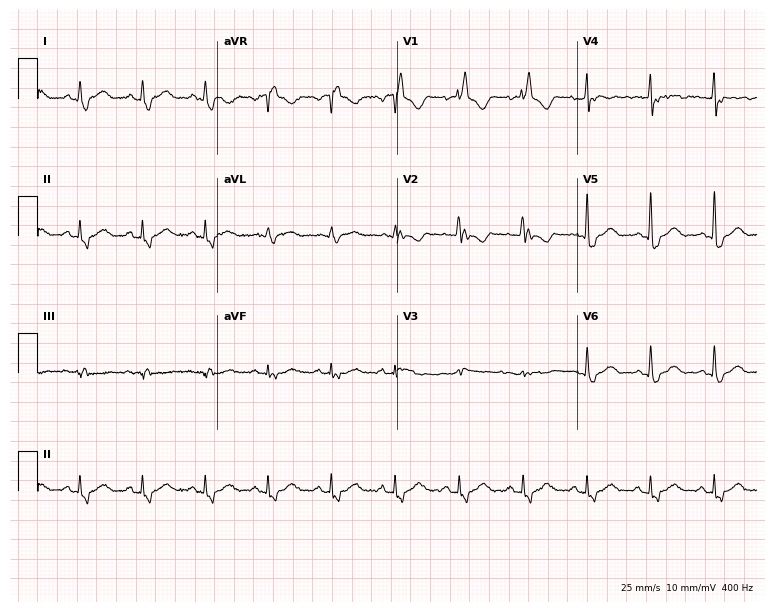
12-lead ECG from a 61-year-old woman. Shows right bundle branch block.